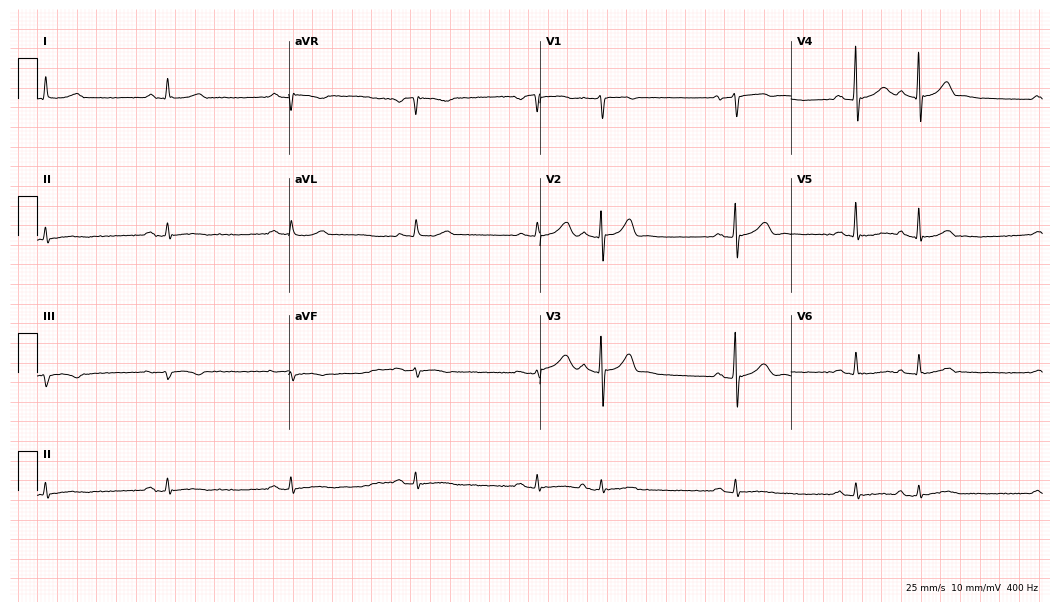
Electrocardiogram (10.2-second recording at 400 Hz), a male, 78 years old. Of the six screened findings (first-degree AV block, right bundle branch block (RBBB), left bundle branch block (LBBB), sinus bradycardia, atrial fibrillation (AF), sinus tachycardia), none is recorded.